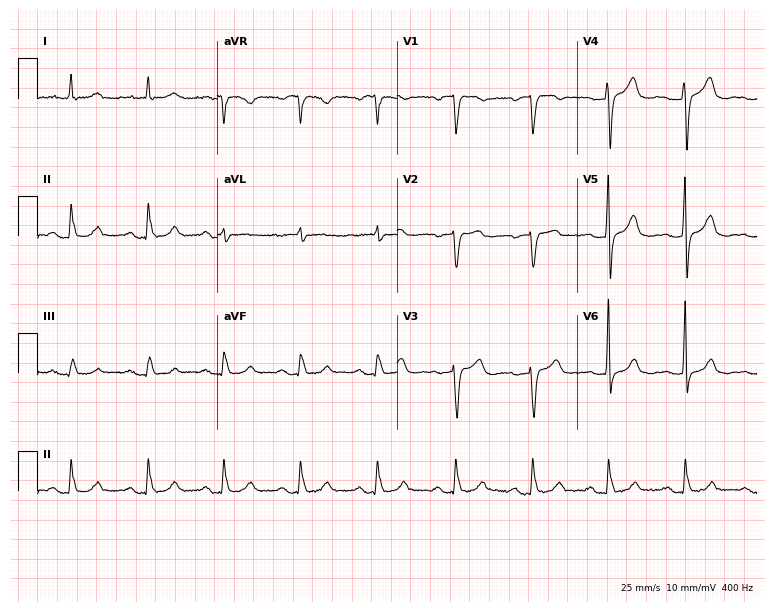
ECG — a 61-year-old male patient. Findings include first-degree AV block.